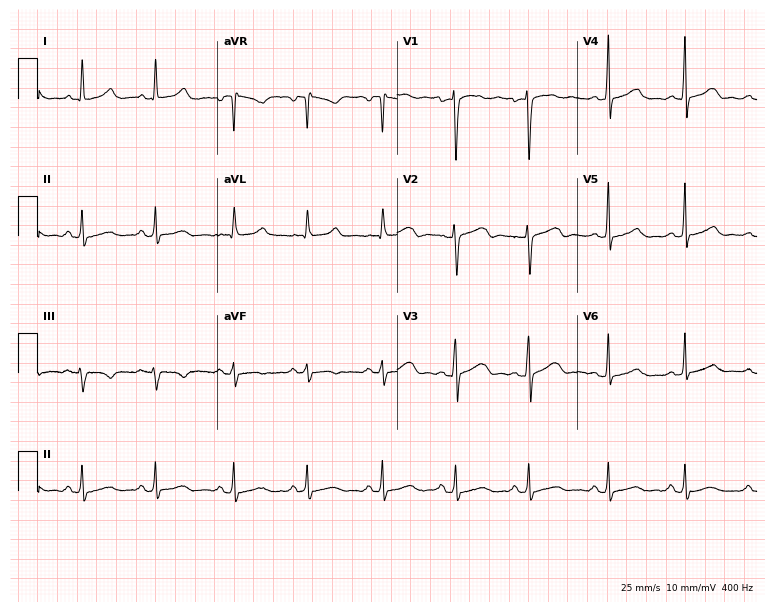
Electrocardiogram, a 26-year-old female. Overall reading on record: normal ECG.